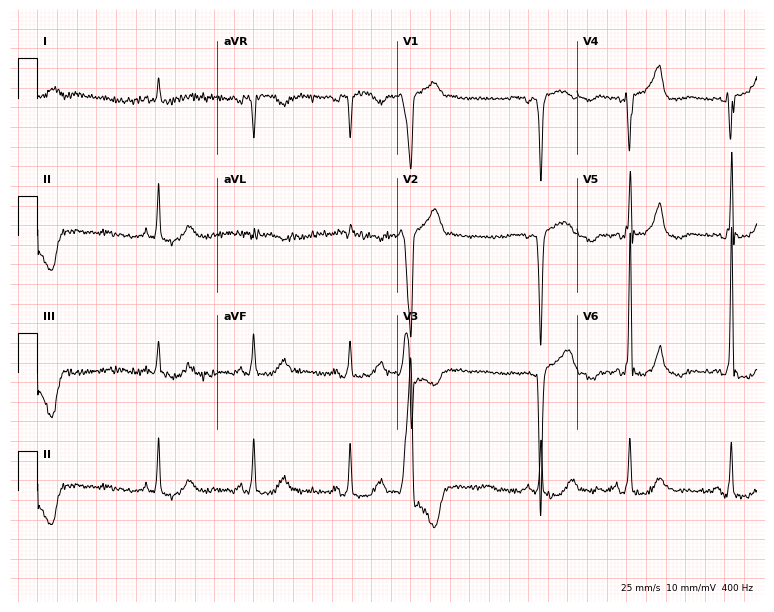
Resting 12-lead electrocardiogram (7.3-second recording at 400 Hz). Patient: a female, 82 years old. None of these six findings is recorded: first-degree AV block, right bundle branch block, left bundle branch block, sinus bradycardia, atrial fibrillation, sinus tachycardia. Findings outside these six are not listed.